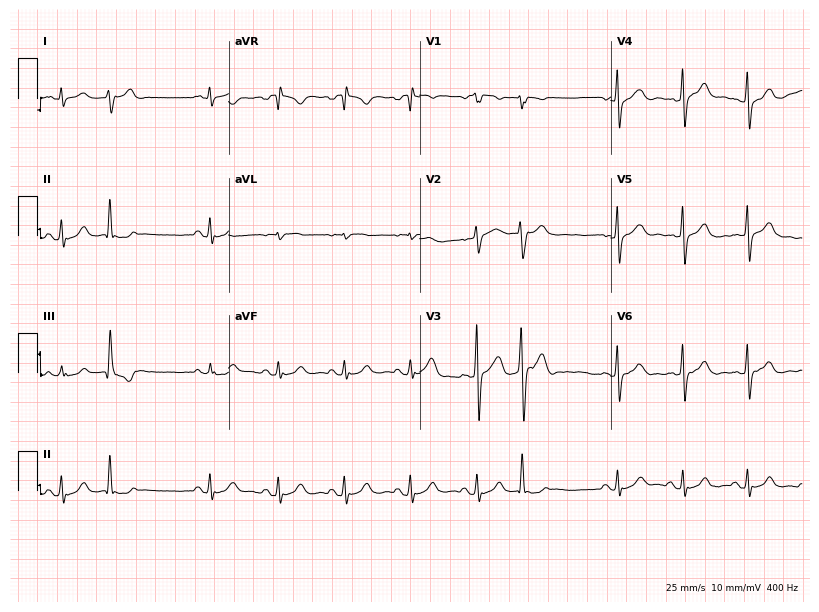
12-lead ECG from a male, 28 years old. Screened for six findings — first-degree AV block, right bundle branch block, left bundle branch block, sinus bradycardia, atrial fibrillation, sinus tachycardia — none is recorded. Other findings, if any, are not listed.